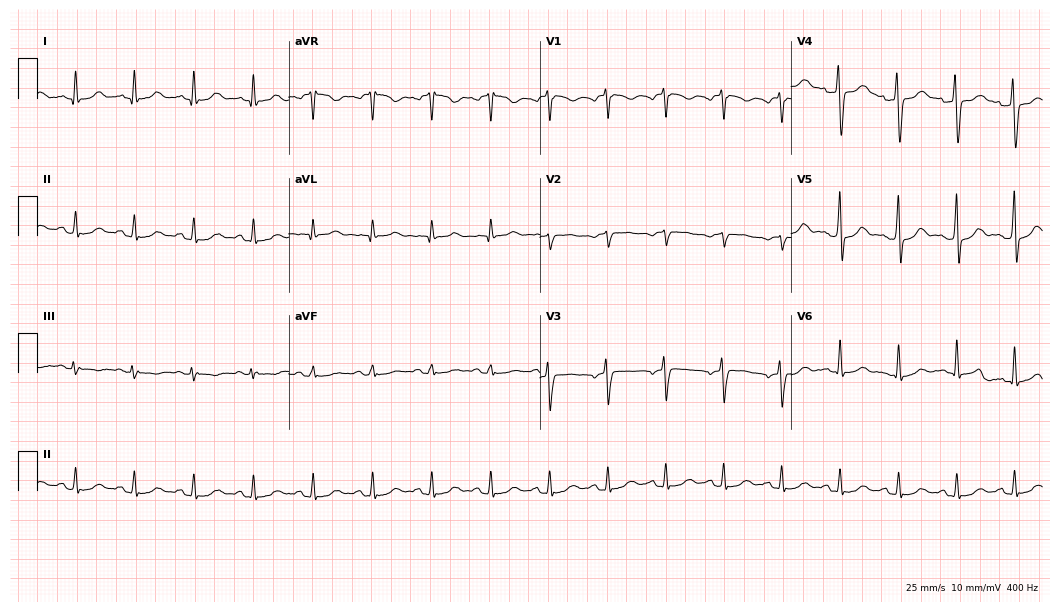
Electrocardiogram, a male, 47 years old. Interpretation includes sinus tachycardia (a sinus rate of 100 beats per minute or more).